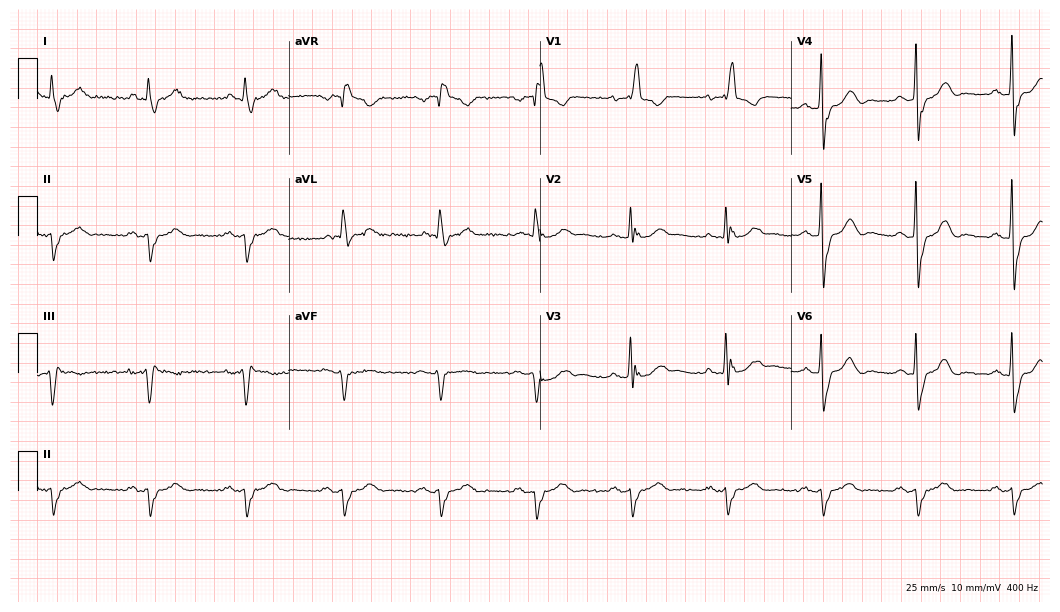
12-lead ECG from a 75-year-old male patient. Findings include right bundle branch block.